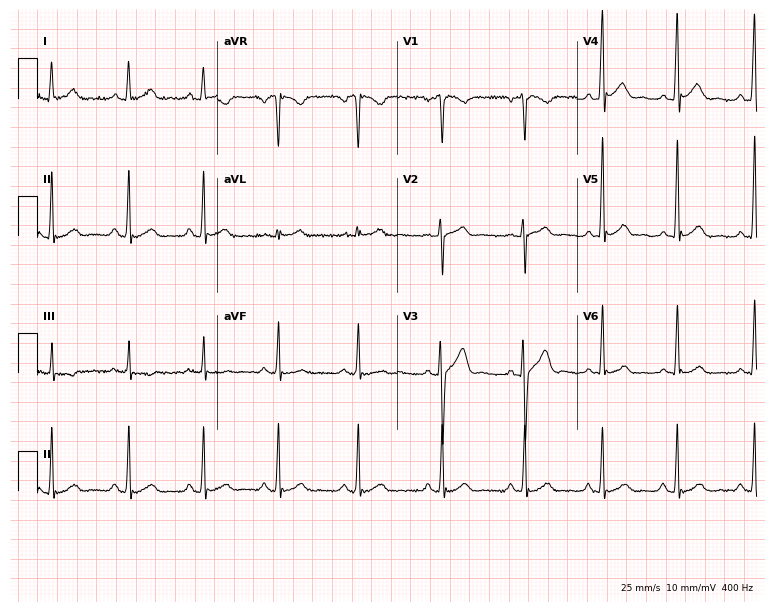
Electrocardiogram (7.3-second recording at 400 Hz), a male, 17 years old. Overall reading on record: normal ECG.